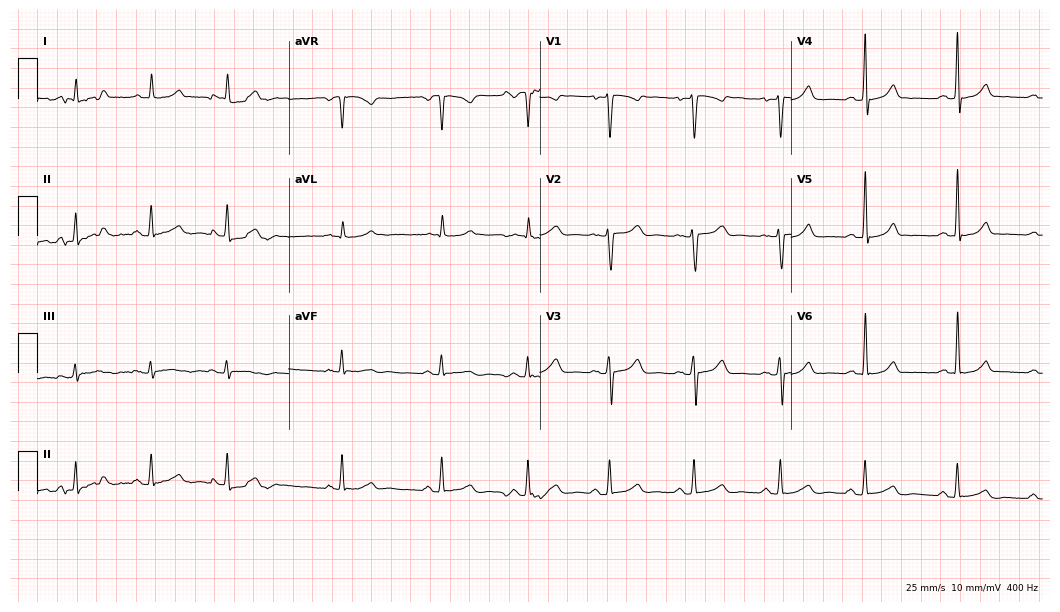
12-lead ECG from a 31-year-old woman. Screened for six findings — first-degree AV block, right bundle branch block, left bundle branch block, sinus bradycardia, atrial fibrillation, sinus tachycardia — none is recorded. Other findings, if any, are not listed.